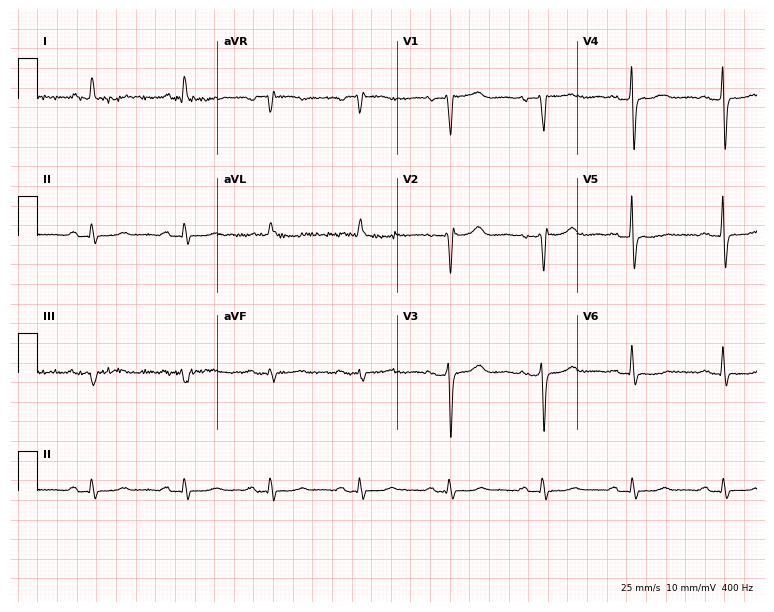
Resting 12-lead electrocardiogram. Patient: a 77-year-old female. None of these six findings is recorded: first-degree AV block, right bundle branch block (RBBB), left bundle branch block (LBBB), sinus bradycardia, atrial fibrillation (AF), sinus tachycardia. Other findings, if any, are not listed.